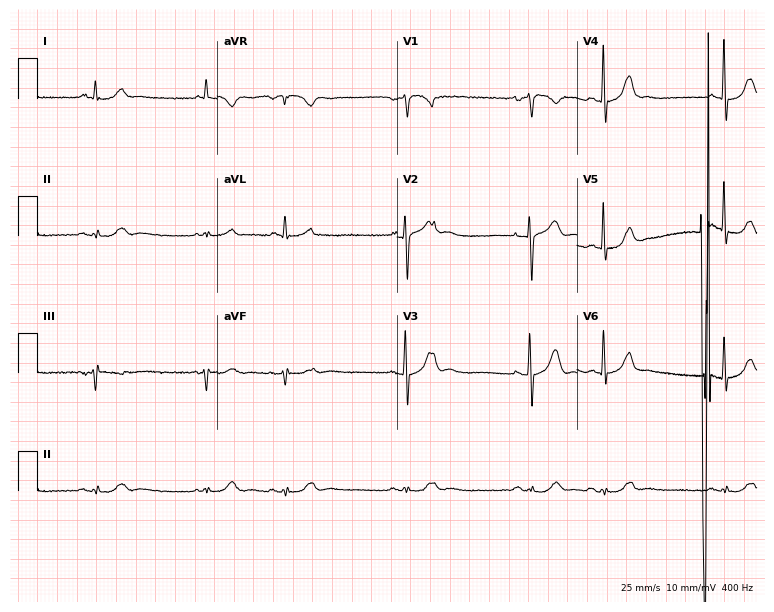
ECG (7.3-second recording at 400 Hz) — an 81-year-old male patient. Screened for six findings — first-degree AV block, right bundle branch block, left bundle branch block, sinus bradycardia, atrial fibrillation, sinus tachycardia — none is recorded.